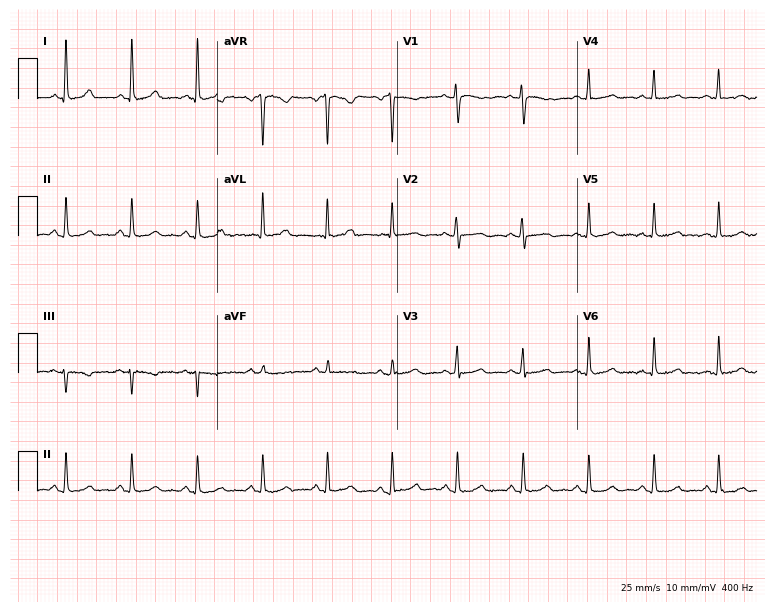
Electrocardiogram, a woman, 44 years old. Overall reading on record: normal ECG.